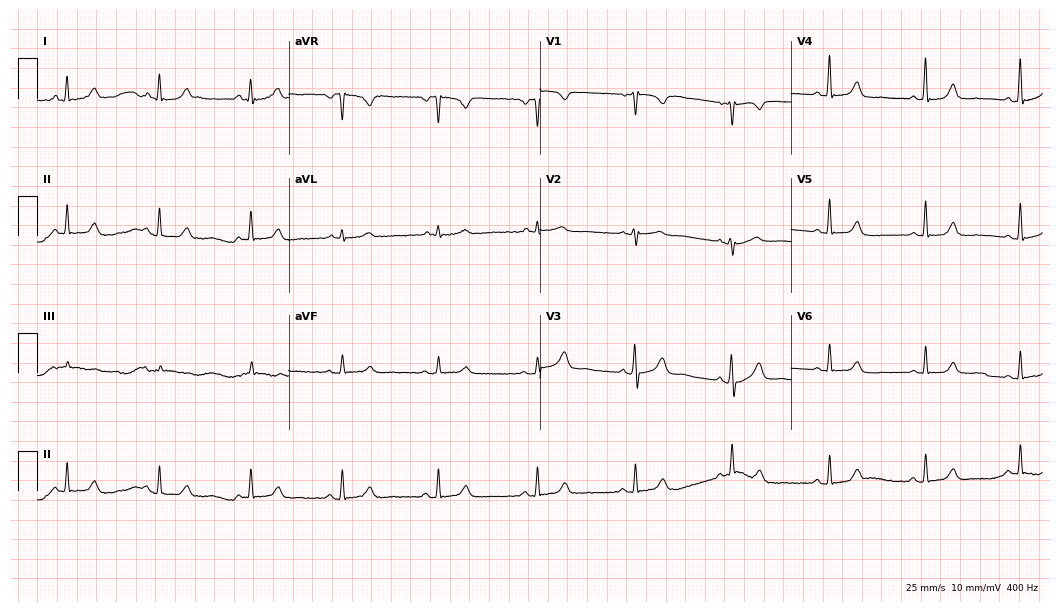
ECG (10.2-second recording at 400 Hz) — a 49-year-old female. Screened for six findings — first-degree AV block, right bundle branch block, left bundle branch block, sinus bradycardia, atrial fibrillation, sinus tachycardia — none is recorded.